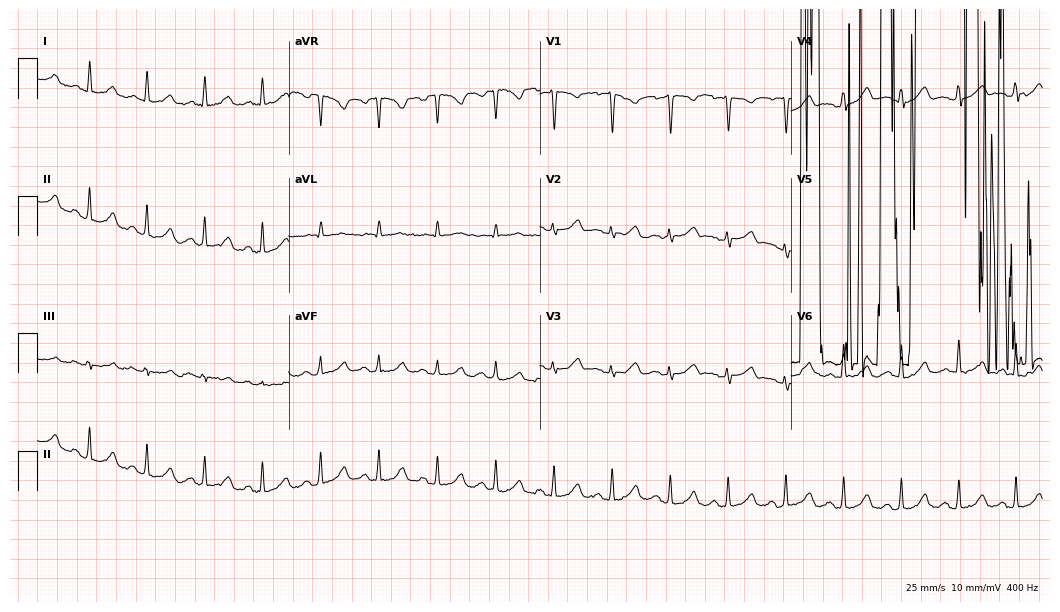
Standard 12-lead ECG recorded from a 49-year-old female (10.2-second recording at 400 Hz). None of these six findings is recorded: first-degree AV block, right bundle branch block, left bundle branch block, sinus bradycardia, atrial fibrillation, sinus tachycardia.